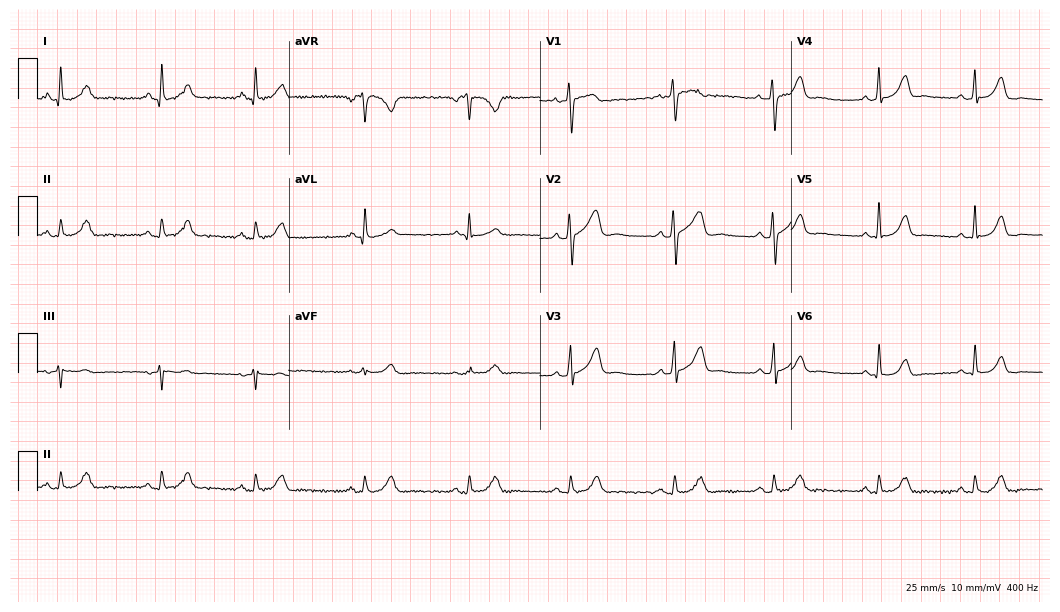
ECG (10.2-second recording at 400 Hz) — a woman, 32 years old. Labelled as a normal ECG.